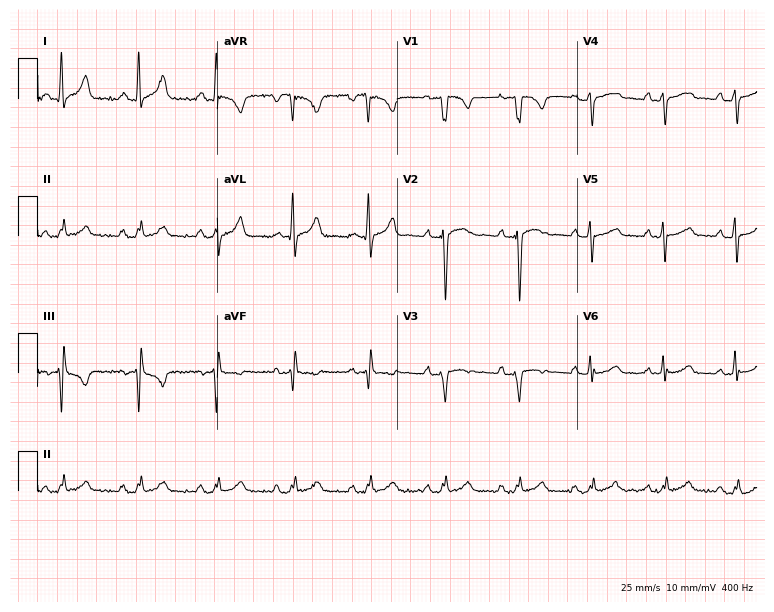
Electrocardiogram (7.3-second recording at 400 Hz), a woman, 61 years old. Of the six screened findings (first-degree AV block, right bundle branch block (RBBB), left bundle branch block (LBBB), sinus bradycardia, atrial fibrillation (AF), sinus tachycardia), none is recorded.